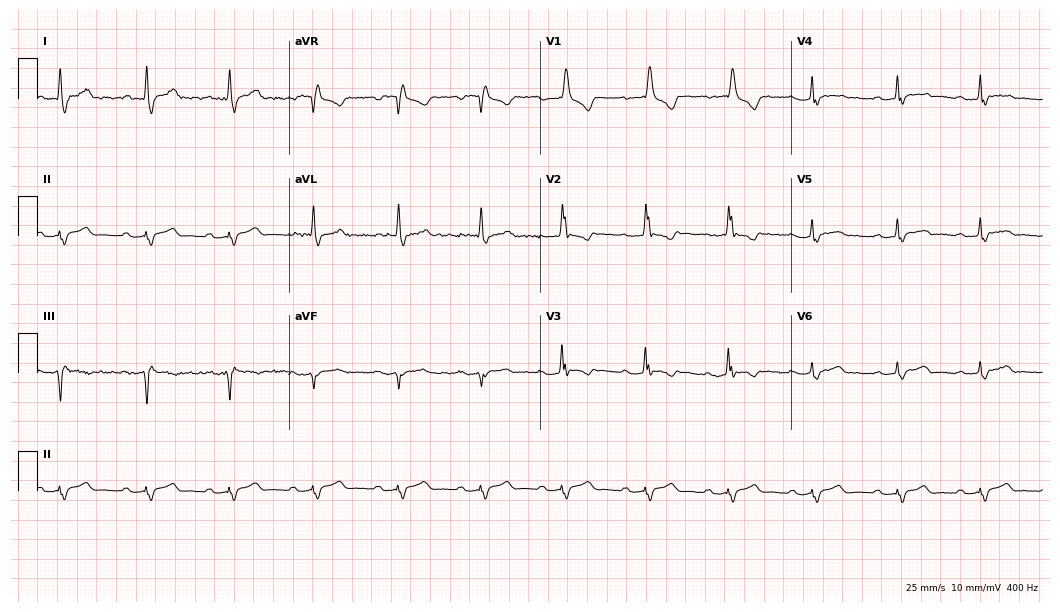
12-lead ECG from a 39-year-old woman (10.2-second recording at 400 Hz). Shows first-degree AV block, right bundle branch block.